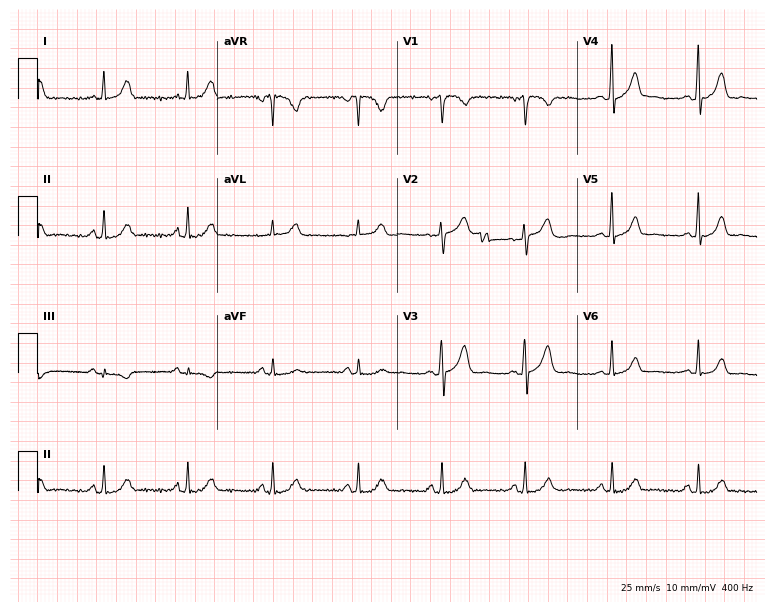
Standard 12-lead ECG recorded from a female, 48 years old (7.3-second recording at 400 Hz). None of these six findings is recorded: first-degree AV block, right bundle branch block (RBBB), left bundle branch block (LBBB), sinus bradycardia, atrial fibrillation (AF), sinus tachycardia. Findings outside these six are not listed.